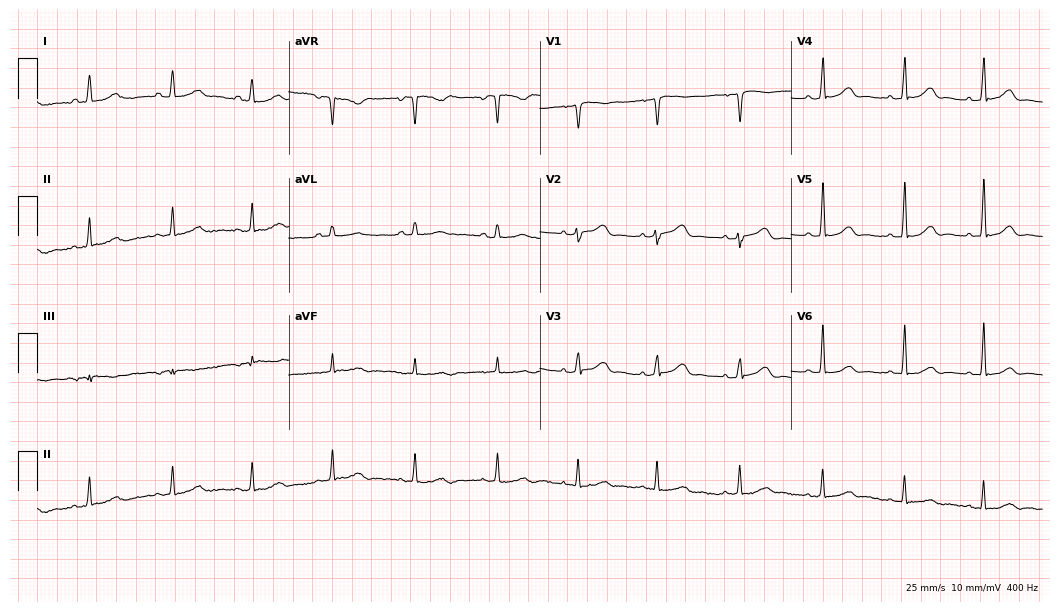
12-lead ECG from a woman, 51 years old (10.2-second recording at 400 Hz). Recorded interpretation: within normal limits.